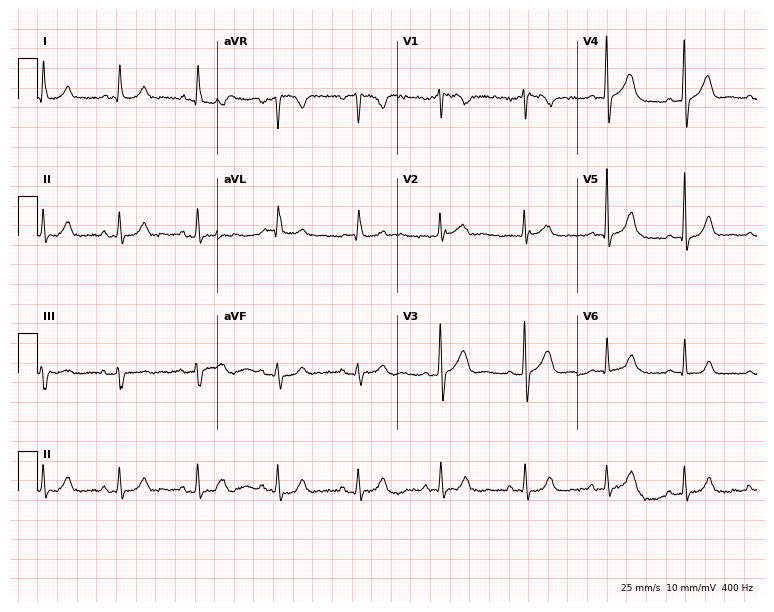
12-lead ECG from a woman, 54 years old (7.3-second recording at 400 Hz). Recorded interpretation: within normal limits.